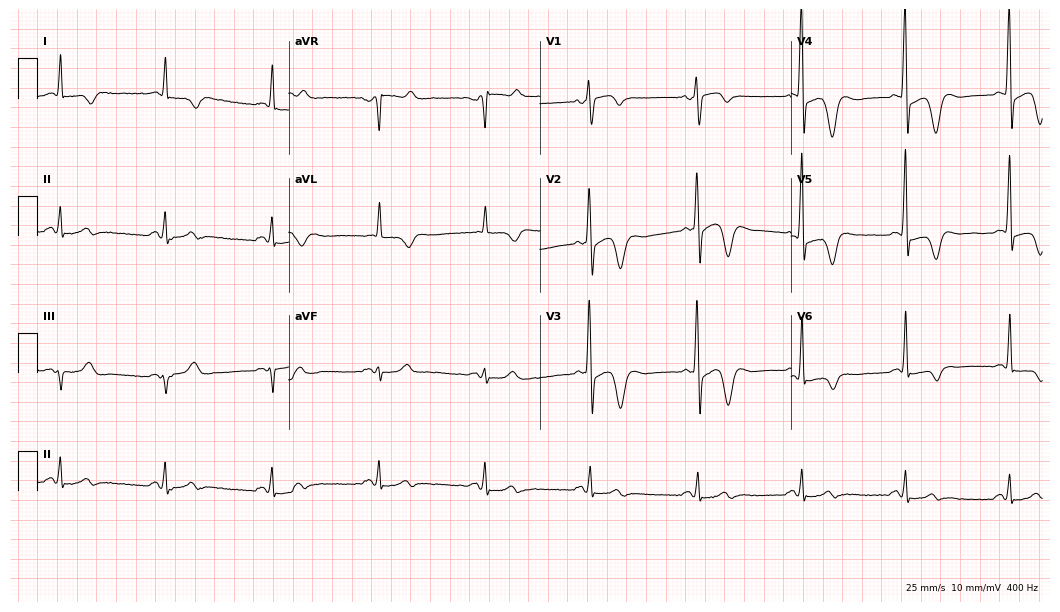
Standard 12-lead ECG recorded from an 80-year-old male. None of these six findings is recorded: first-degree AV block, right bundle branch block, left bundle branch block, sinus bradycardia, atrial fibrillation, sinus tachycardia. Other findings, if any, are not listed.